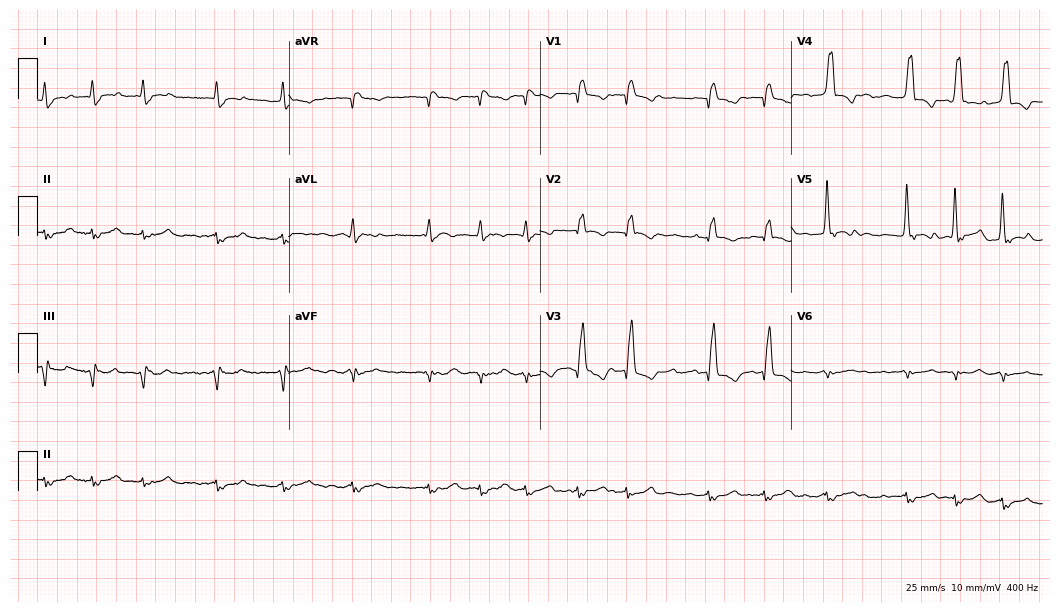
ECG — a man, 80 years old. Findings include right bundle branch block (RBBB), atrial fibrillation (AF).